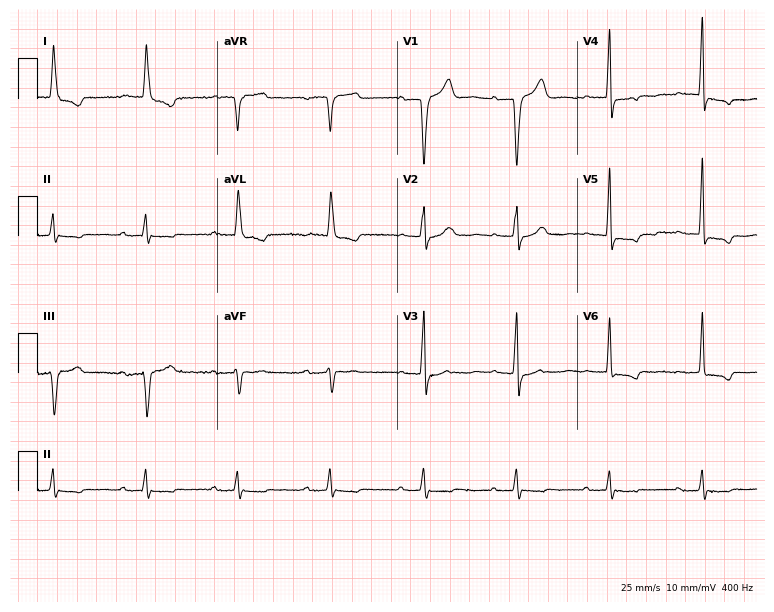
12-lead ECG from an 81-year-old male. No first-degree AV block, right bundle branch block (RBBB), left bundle branch block (LBBB), sinus bradycardia, atrial fibrillation (AF) or sinus tachycardia recorded for this tracing.